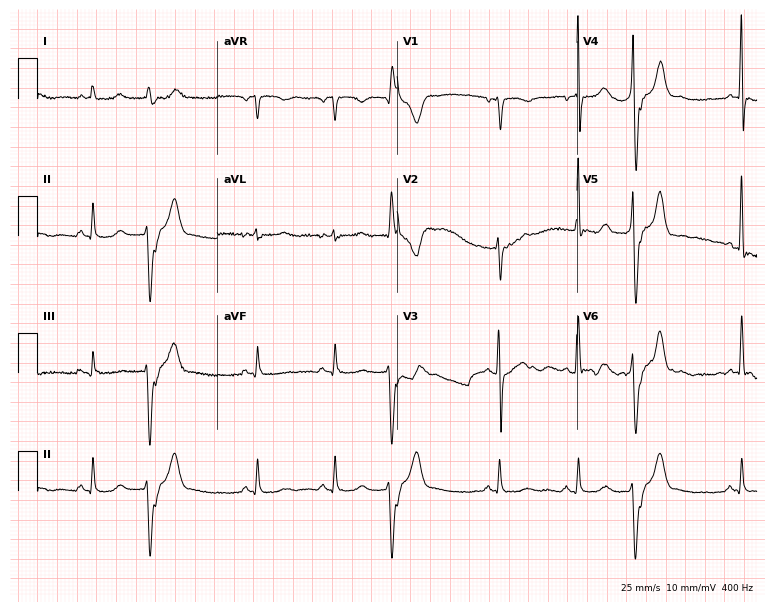
ECG (7.3-second recording at 400 Hz) — a man, 60 years old. Screened for six findings — first-degree AV block, right bundle branch block (RBBB), left bundle branch block (LBBB), sinus bradycardia, atrial fibrillation (AF), sinus tachycardia — none is recorded. Findings outside these six are not listed.